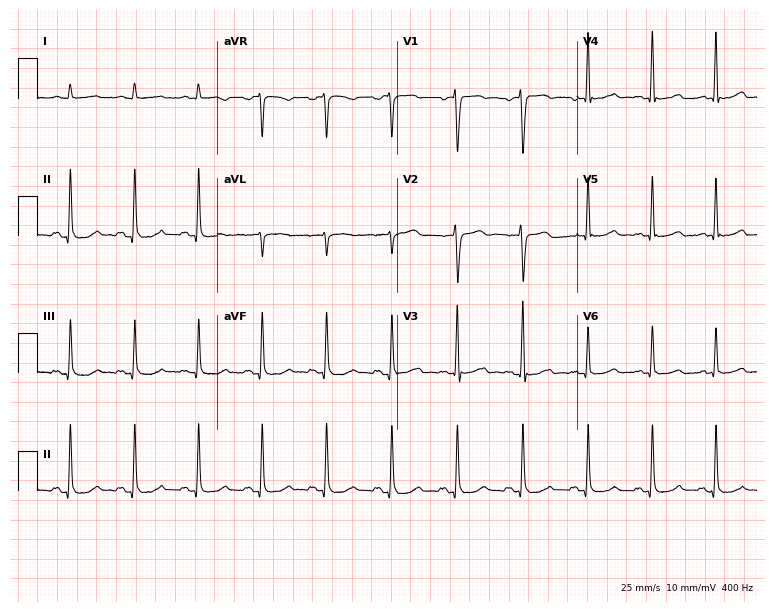
12-lead ECG from a 49-year-old male patient. No first-degree AV block, right bundle branch block (RBBB), left bundle branch block (LBBB), sinus bradycardia, atrial fibrillation (AF) or sinus tachycardia recorded for this tracing. Other findings, if any, are not listed.